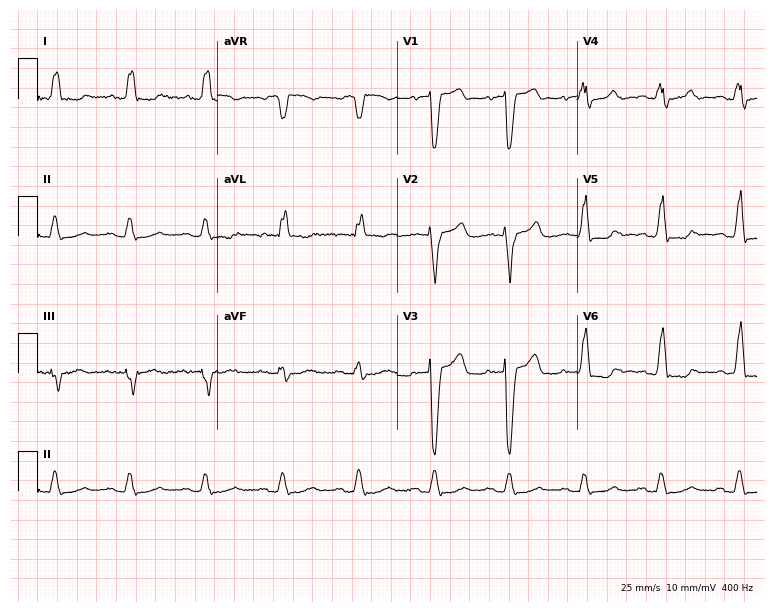
Electrocardiogram, an 83-year-old male patient. Interpretation includes left bundle branch block.